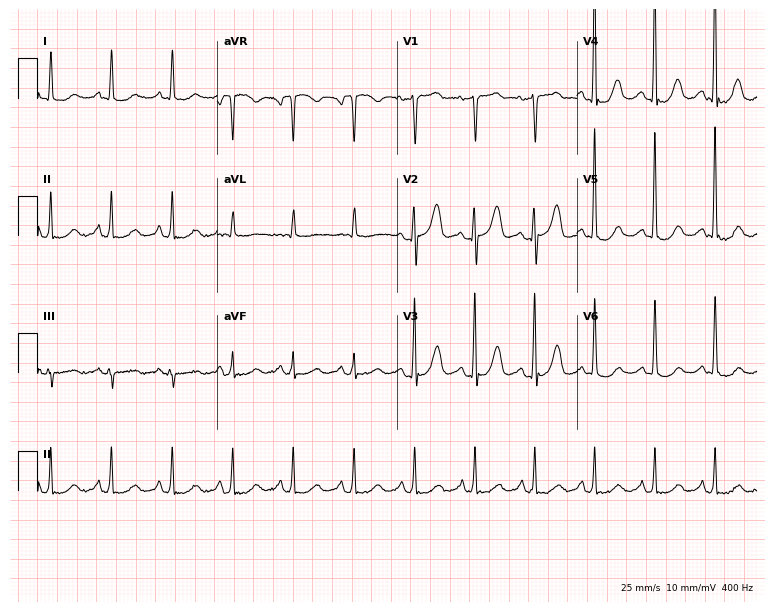
12-lead ECG from a male patient, 54 years old. Recorded interpretation: within normal limits.